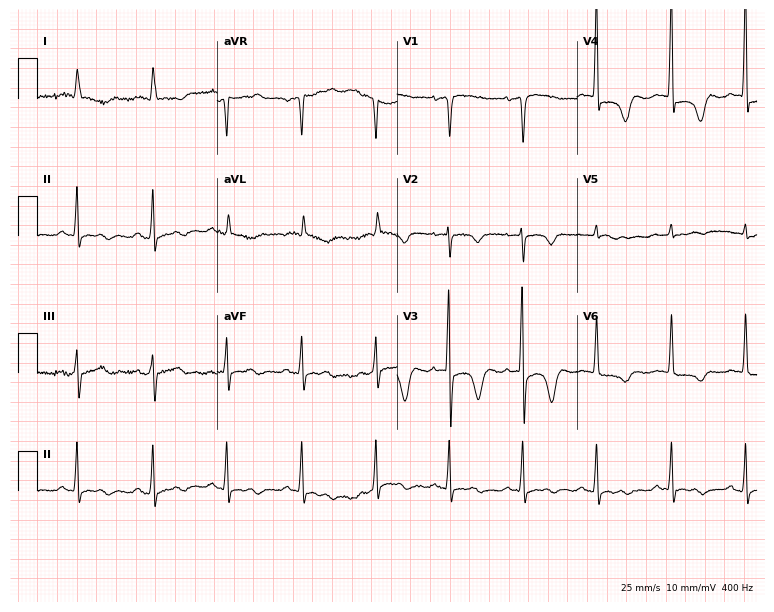
12-lead ECG from a female patient, 82 years old. Recorded interpretation: within normal limits.